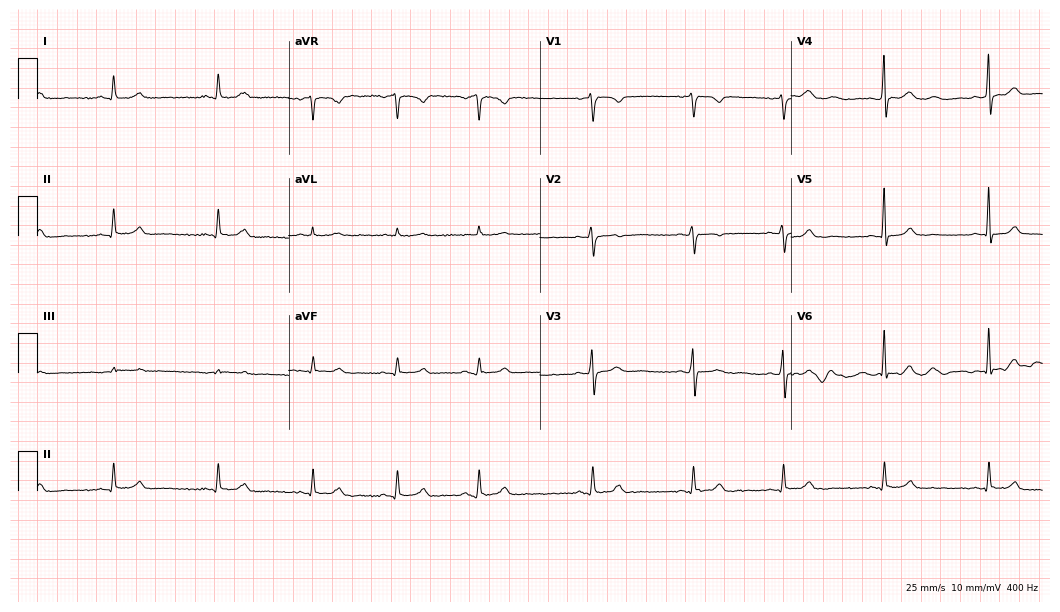
Standard 12-lead ECG recorded from a 43-year-old female (10.2-second recording at 400 Hz). Read as a normal ECG.